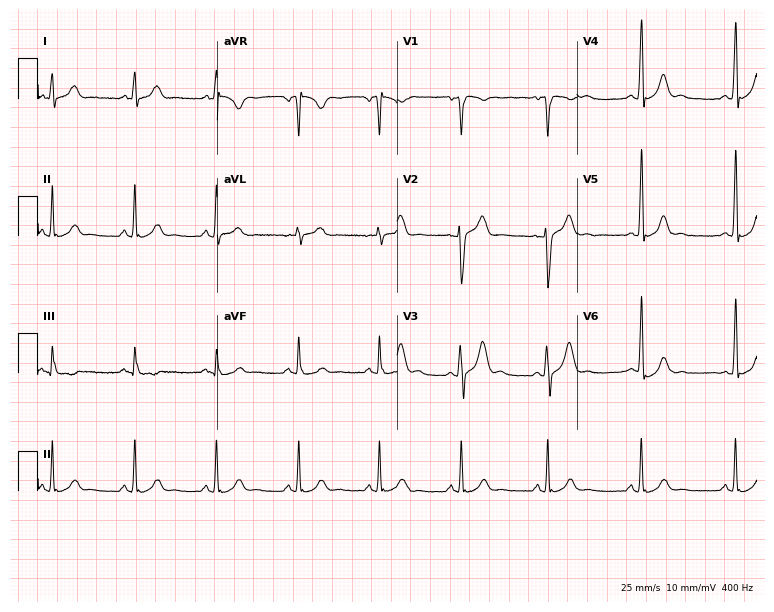
ECG — a male, 22 years old. Labelled as a normal ECG.